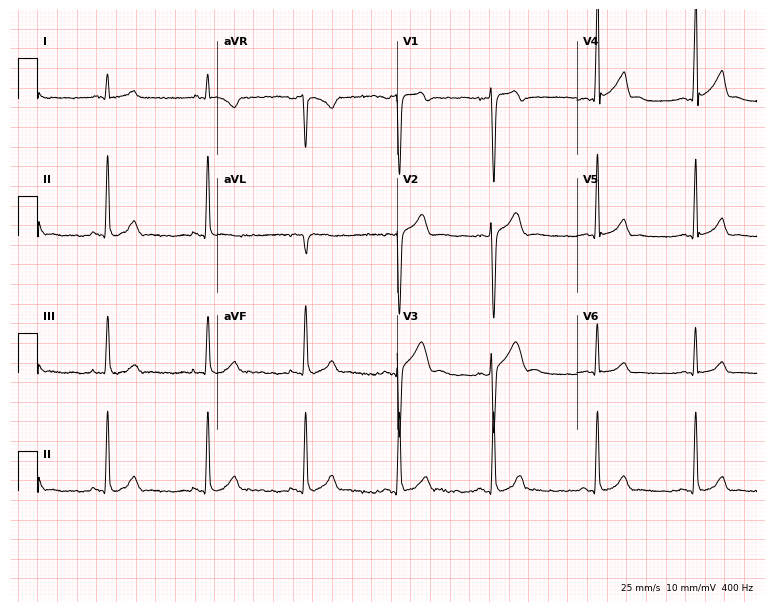
Electrocardiogram (7.3-second recording at 400 Hz), a man, 21 years old. Overall reading on record: normal ECG.